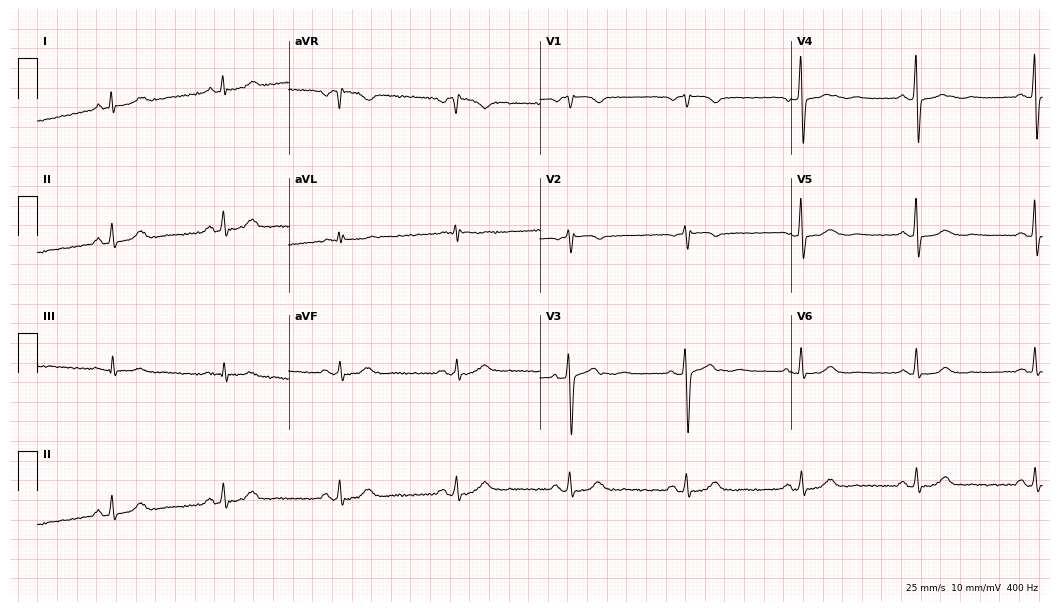
Standard 12-lead ECG recorded from a female patient, 57 years old (10.2-second recording at 400 Hz). Read as a normal ECG.